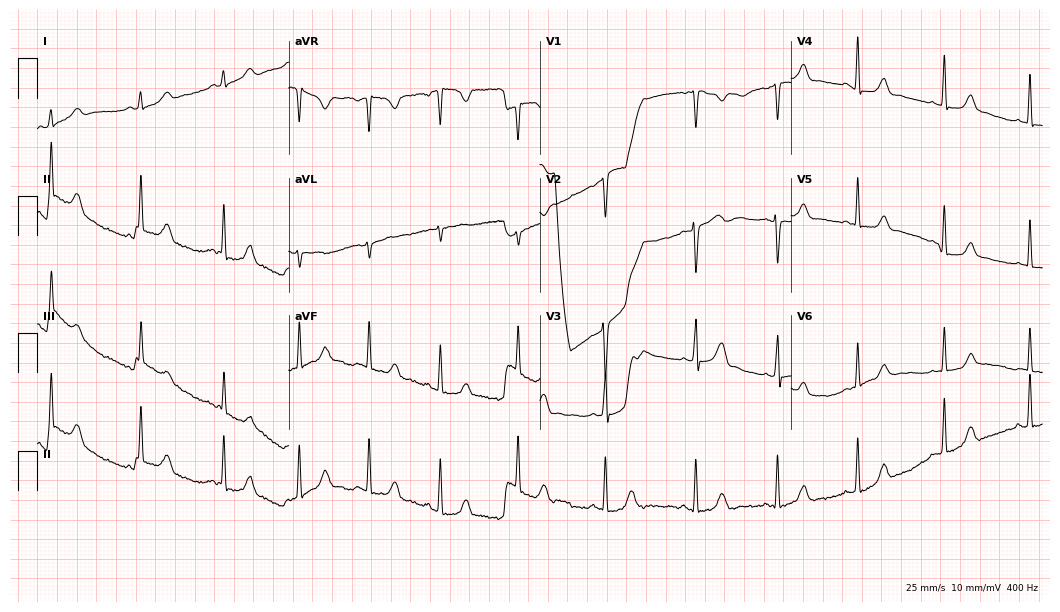
12-lead ECG from a woman, 28 years old (10.2-second recording at 400 Hz). Recorded interpretation: within normal limits.